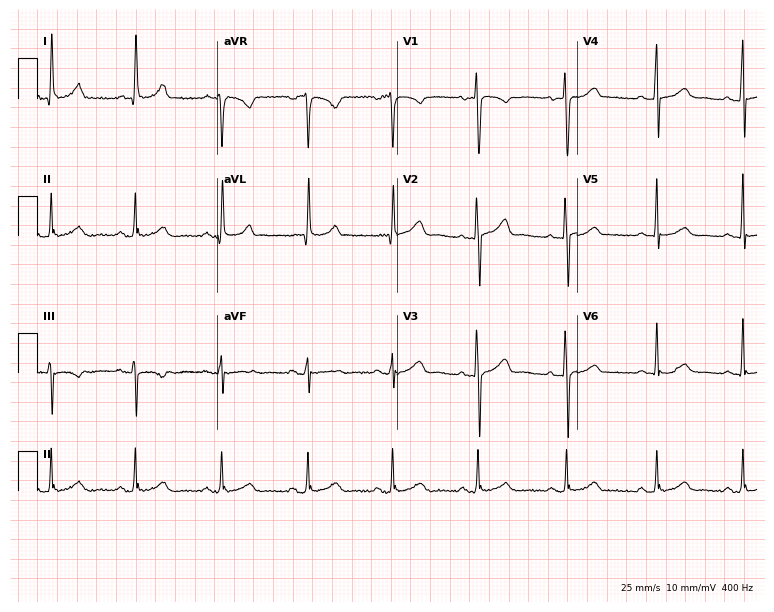
12-lead ECG from a woman, 54 years old. Recorded interpretation: within normal limits.